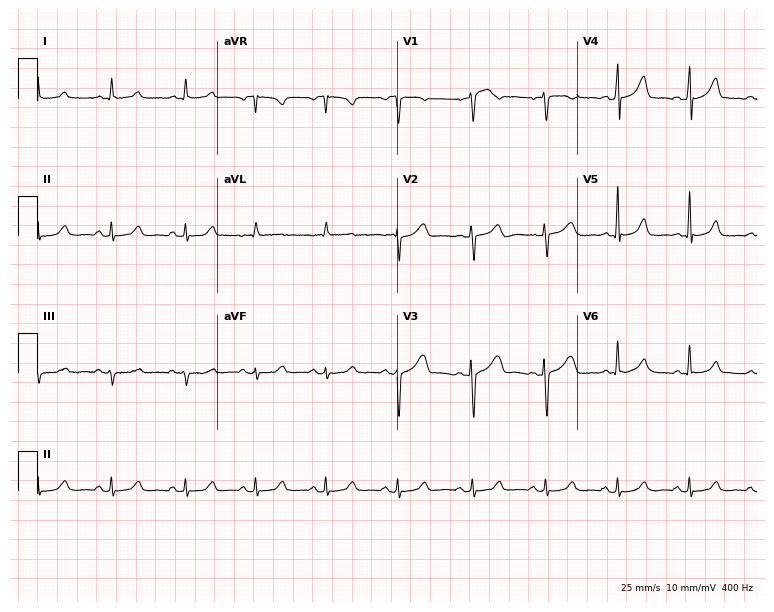
12-lead ECG from a 61-year-old female. Recorded interpretation: within normal limits.